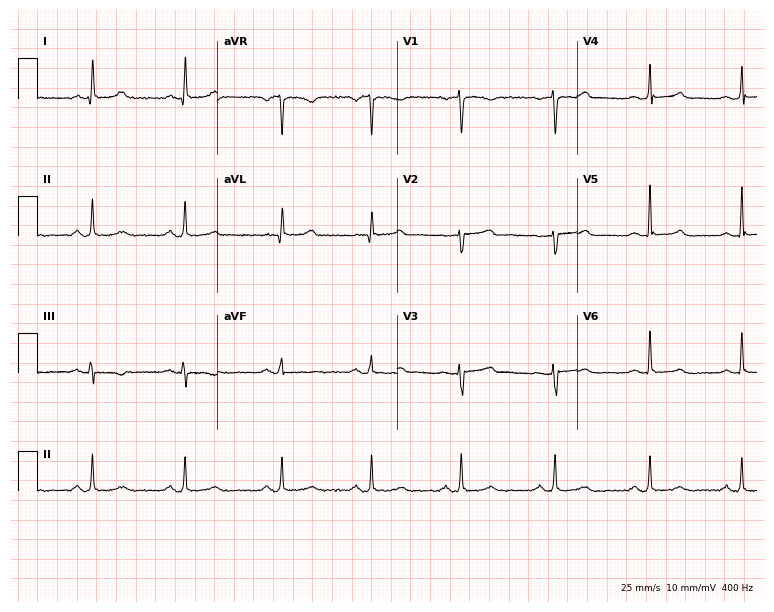
Resting 12-lead electrocardiogram. Patient: a 54-year-old woman. Read as a normal ECG.